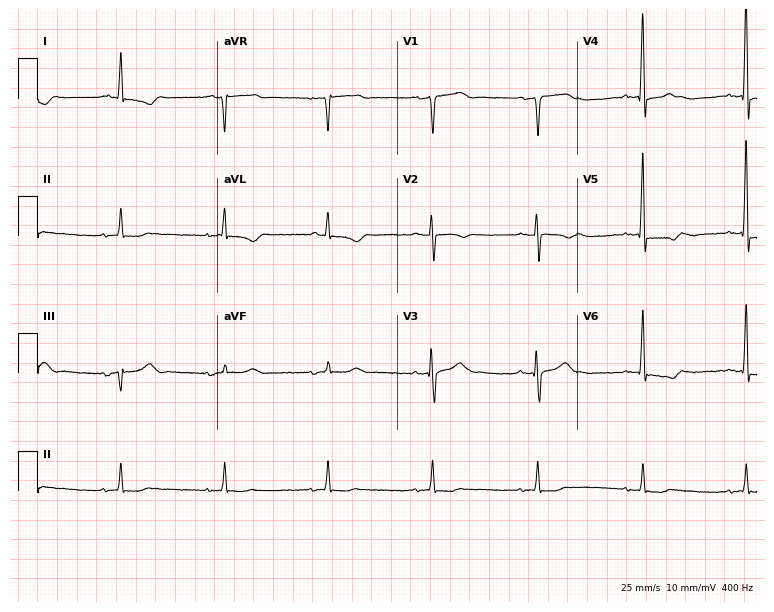
Resting 12-lead electrocardiogram. Patient: a 76-year-old male. None of these six findings is recorded: first-degree AV block, right bundle branch block, left bundle branch block, sinus bradycardia, atrial fibrillation, sinus tachycardia. Findings outside these six are not listed.